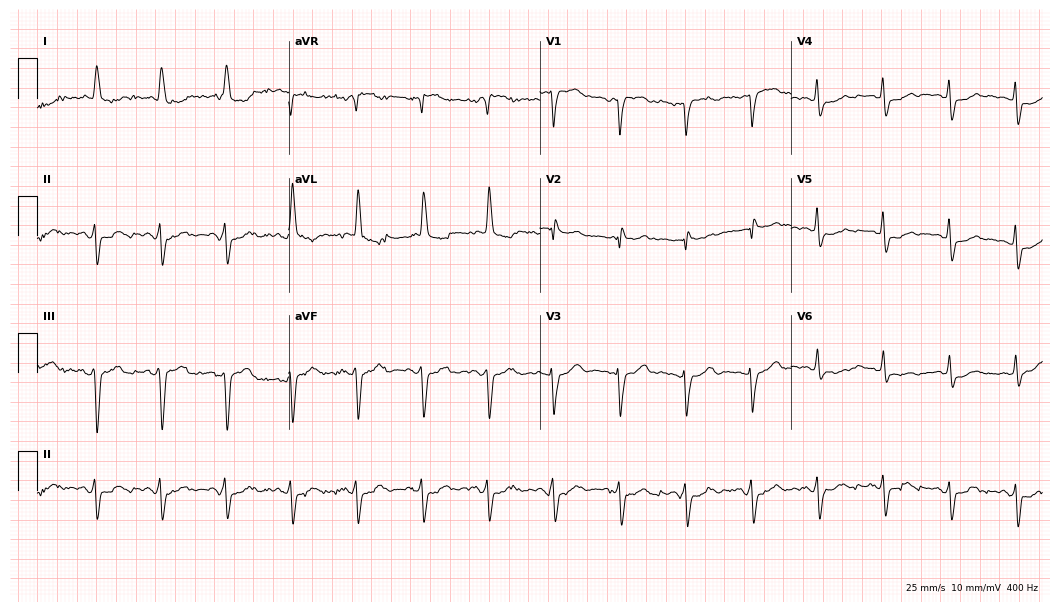
ECG (10.2-second recording at 400 Hz) — a 77-year-old woman. Screened for six findings — first-degree AV block, right bundle branch block, left bundle branch block, sinus bradycardia, atrial fibrillation, sinus tachycardia — none is recorded.